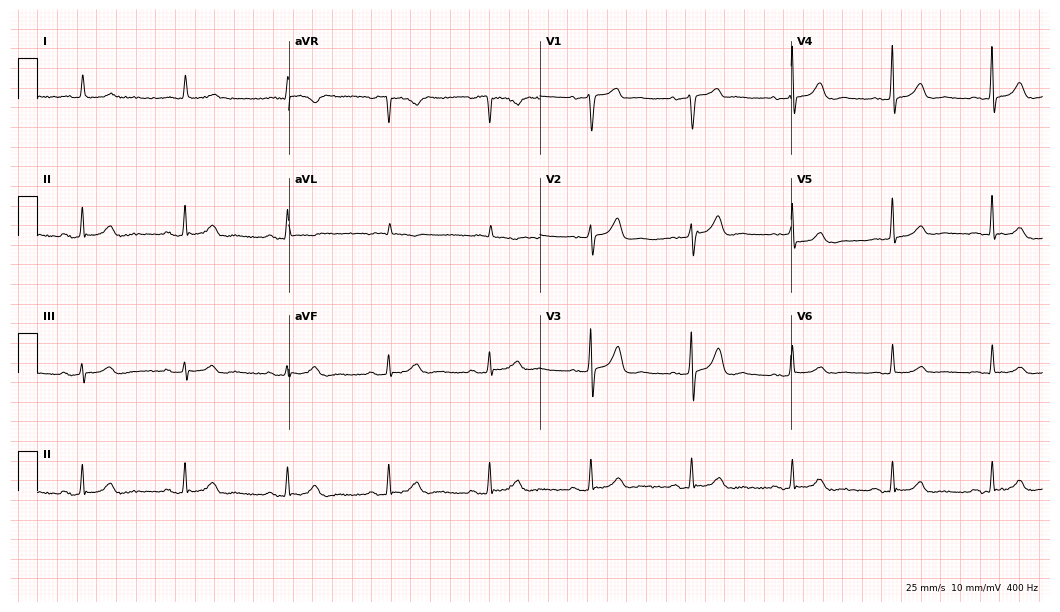
Resting 12-lead electrocardiogram. Patient: a 67-year-old female. None of these six findings is recorded: first-degree AV block, right bundle branch block (RBBB), left bundle branch block (LBBB), sinus bradycardia, atrial fibrillation (AF), sinus tachycardia. Only these six findings were labelled.